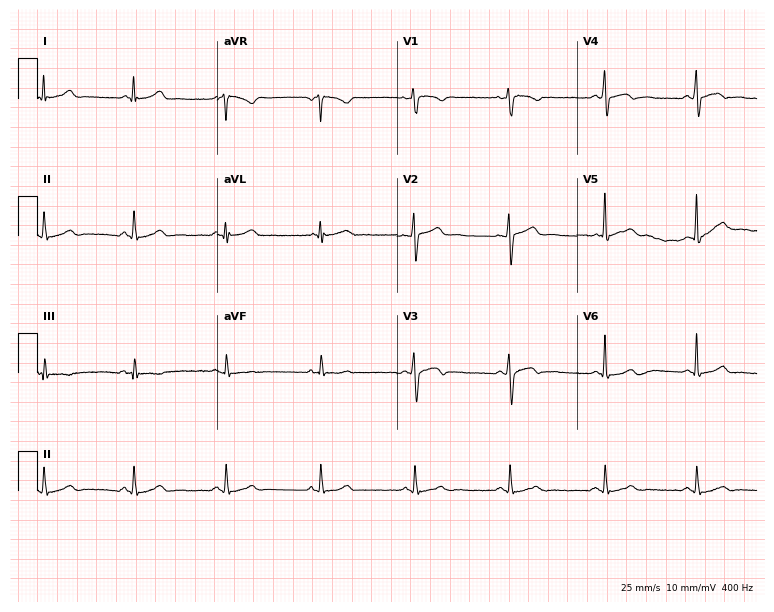
ECG — a woman, 26 years old. Screened for six findings — first-degree AV block, right bundle branch block (RBBB), left bundle branch block (LBBB), sinus bradycardia, atrial fibrillation (AF), sinus tachycardia — none is recorded. Findings outside these six are not listed.